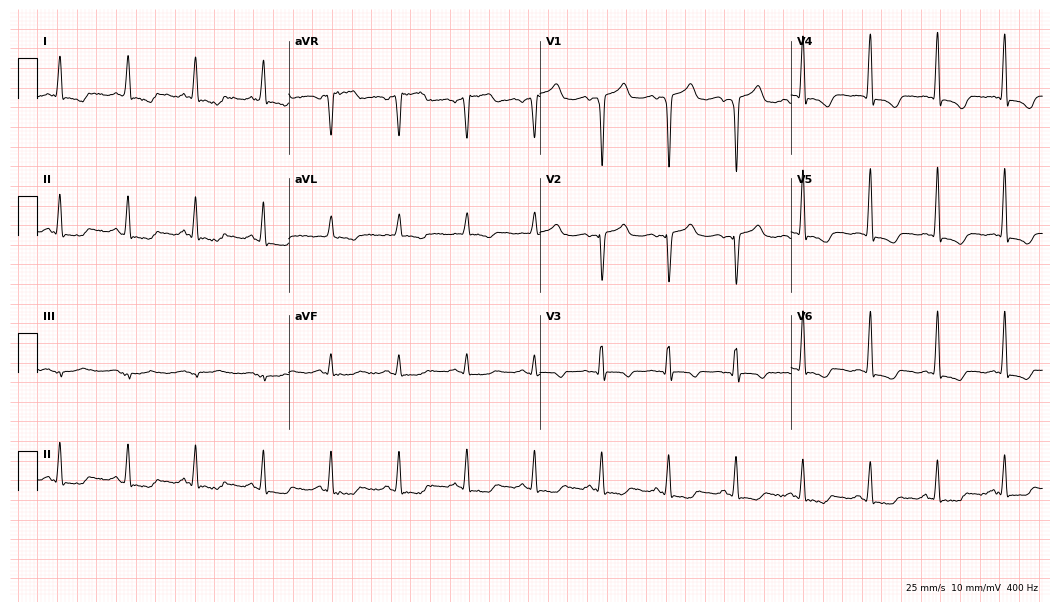
ECG (10.2-second recording at 400 Hz) — a female, 66 years old. Screened for six findings — first-degree AV block, right bundle branch block (RBBB), left bundle branch block (LBBB), sinus bradycardia, atrial fibrillation (AF), sinus tachycardia — none is recorded. Findings outside these six are not listed.